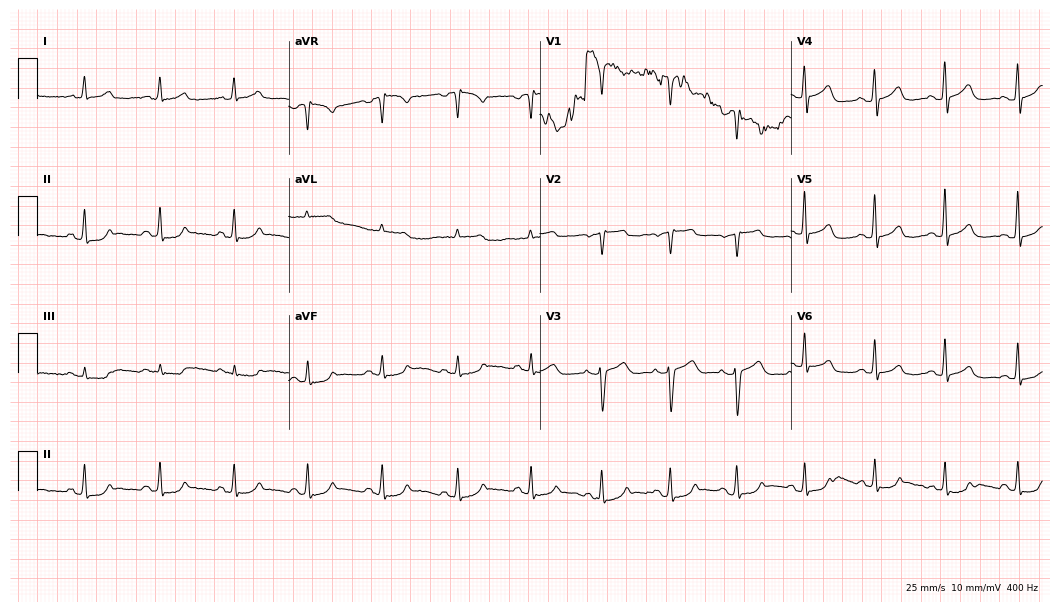
12-lead ECG (10.2-second recording at 400 Hz) from a 54-year-old woman. Screened for six findings — first-degree AV block, right bundle branch block, left bundle branch block, sinus bradycardia, atrial fibrillation, sinus tachycardia — none is recorded.